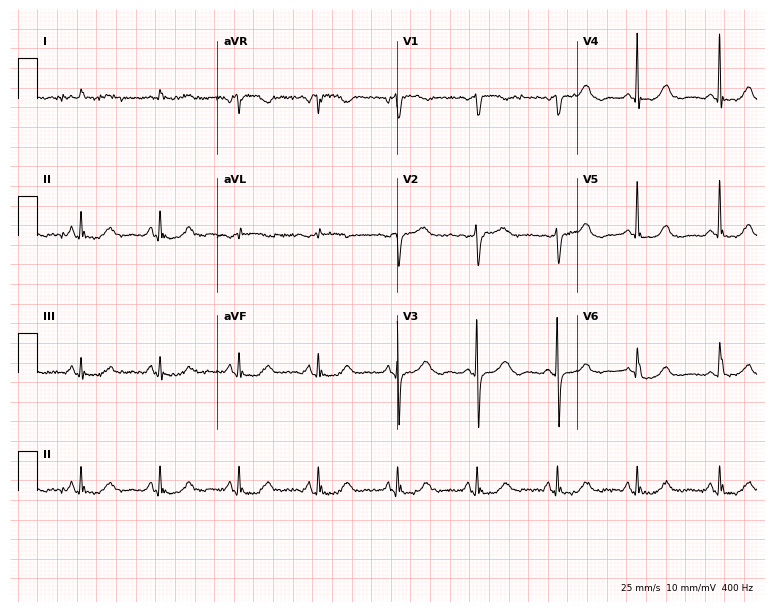
Resting 12-lead electrocardiogram. Patient: an 81-year-old woman. None of these six findings is recorded: first-degree AV block, right bundle branch block (RBBB), left bundle branch block (LBBB), sinus bradycardia, atrial fibrillation (AF), sinus tachycardia.